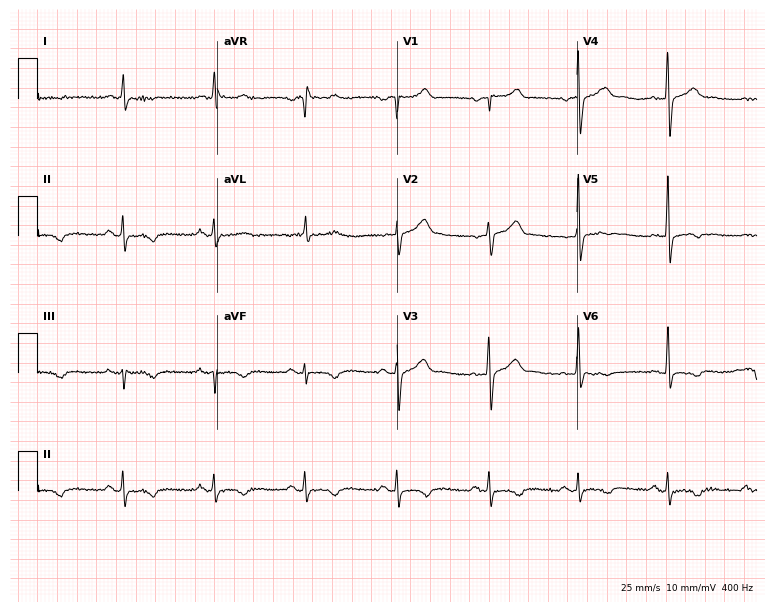
Electrocardiogram, a male patient, 59 years old. Of the six screened findings (first-degree AV block, right bundle branch block, left bundle branch block, sinus bradycardia, atrial fibrillation, sinus tachycardia), none is recorded. Findings outside these six are not listed.